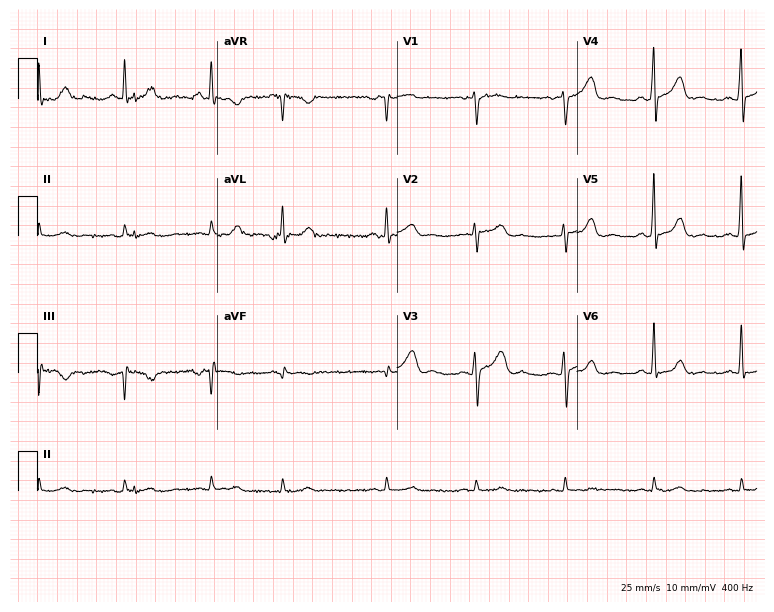
Standard 12-lead ECG recorded from a 61-year-old male. None of these six findings is recorded: first-degree AV block, right bundle branch block (RBBB), left bundle branch block (LBBB), sinus bradycardia, atrial fibrillation (AF), sinus tachycardia. Other findings, if any, are not listed.